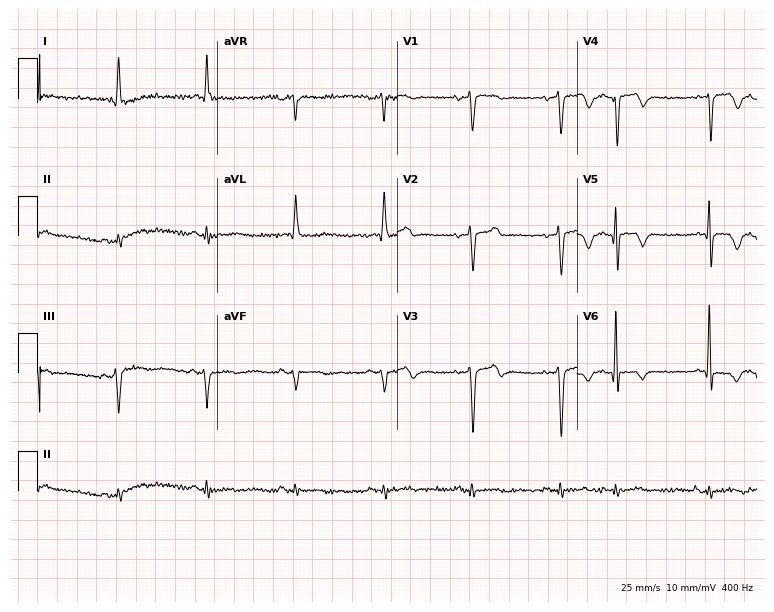
12-lead ECG from a 77-year-old male (7.3-second recording at 400 Hz). No first-degree AV block, right bundle branch block (RBBB), left bundle branch block (LBBB), sinus bradycardia, atrial fibrillation (AF) or sinus tachycardia recorded for this tracing. Findings outside these six are not listed.